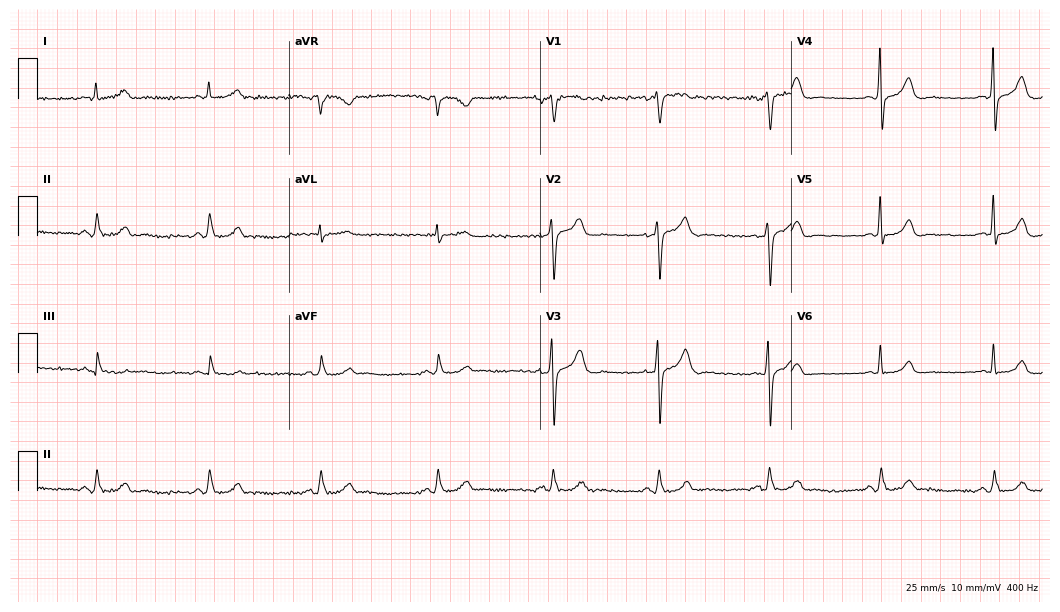
ECG (10.2-second recording at 400 Hz) — a 65-year-old male. Screened for six findings — first-degree AV block, right bundle branch block (RBBB), left bundle branch block (LBBB), sinus bradycardia, atrial fibrillation (AF), sinus tachycardia — none is recorded.